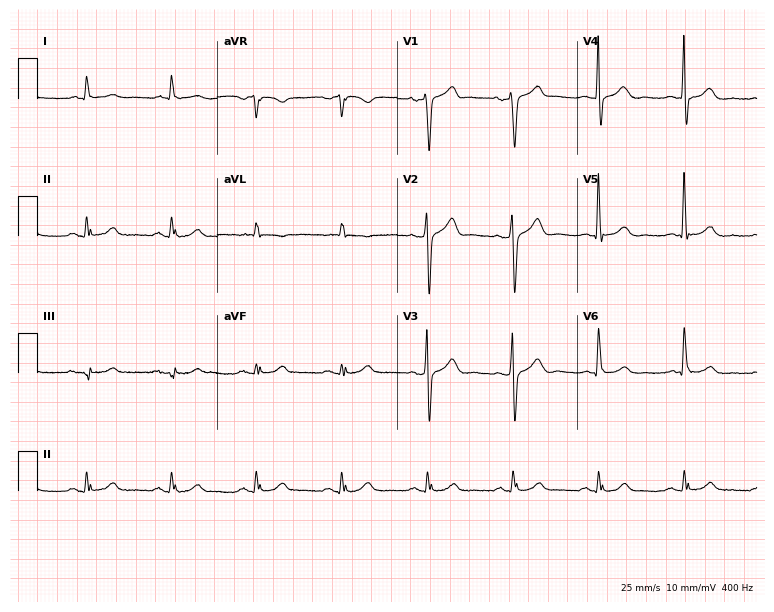
12-lead ECG from a man, 85 years old. Recorded interpretation: within normal limits.